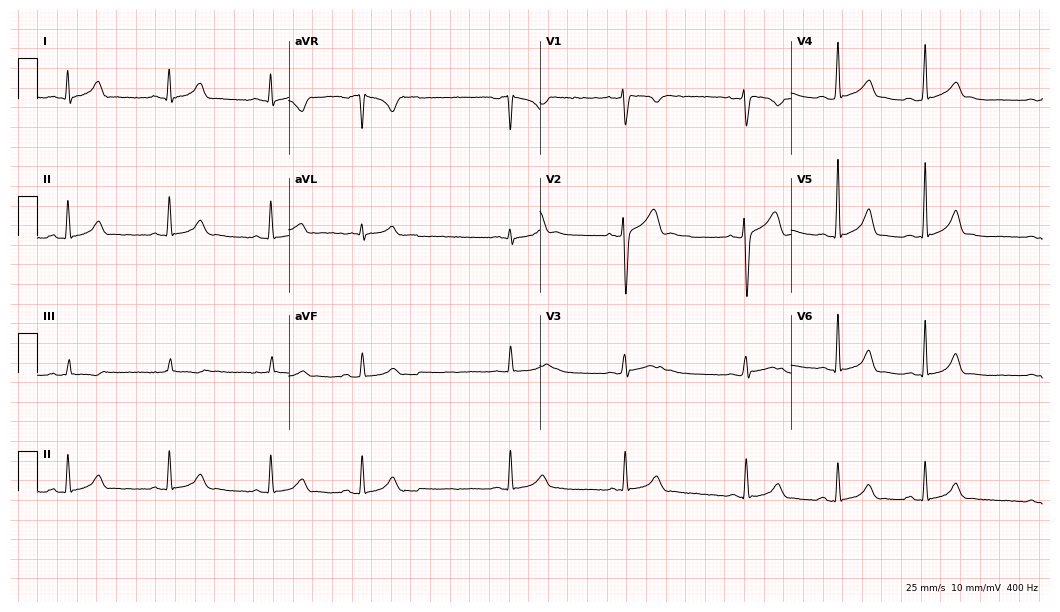
12-lead ECG from a male, 18 years old. Labelled as a normal ECG.